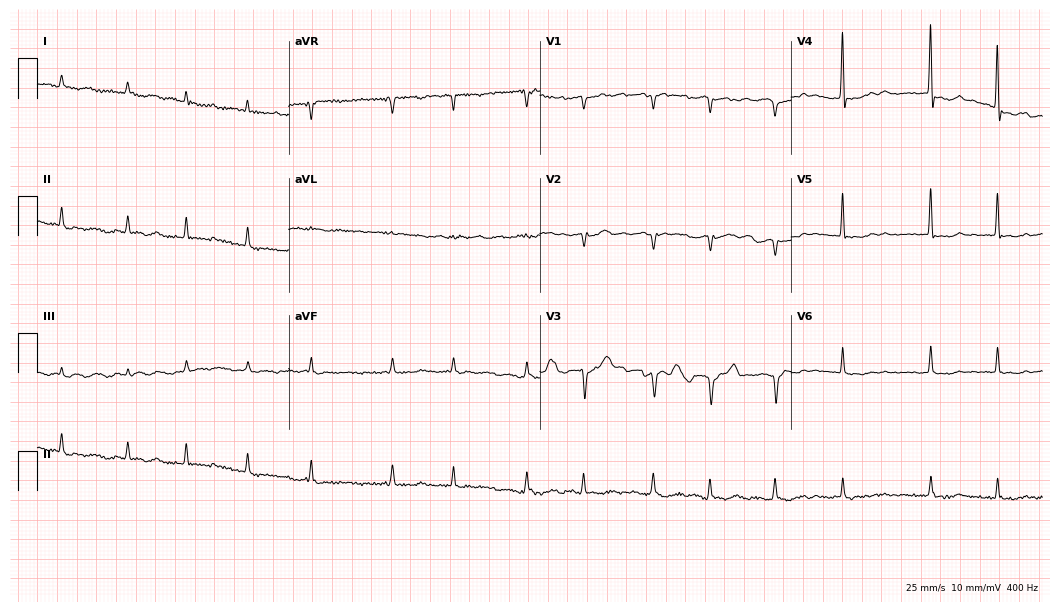
ECG — an 83-year-old female patient. Findings include atrial fibrillation (AF).